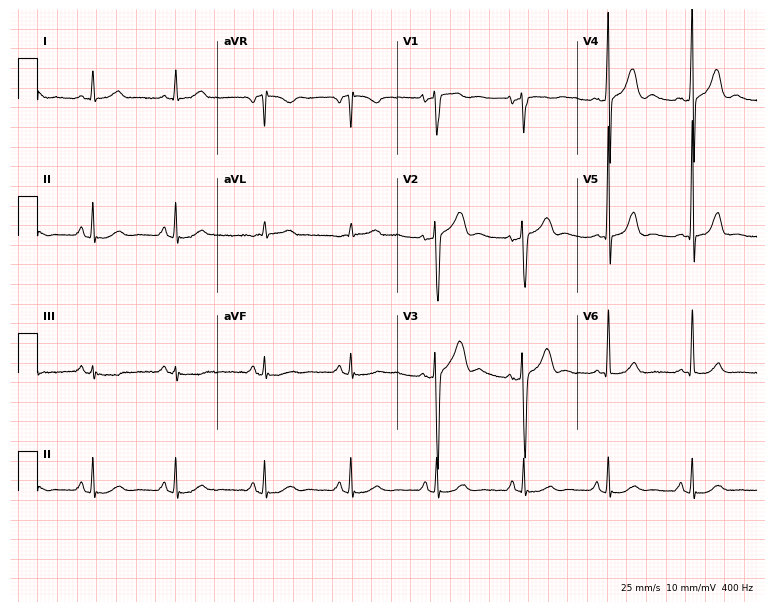
ECG — a 64-year-old man. Screened for six findings — first-degree AV block, right bundle branch block, left bundle branch block, sinus bradycardia, atrial fibrillation, sinus tachycardia — none is recorded.